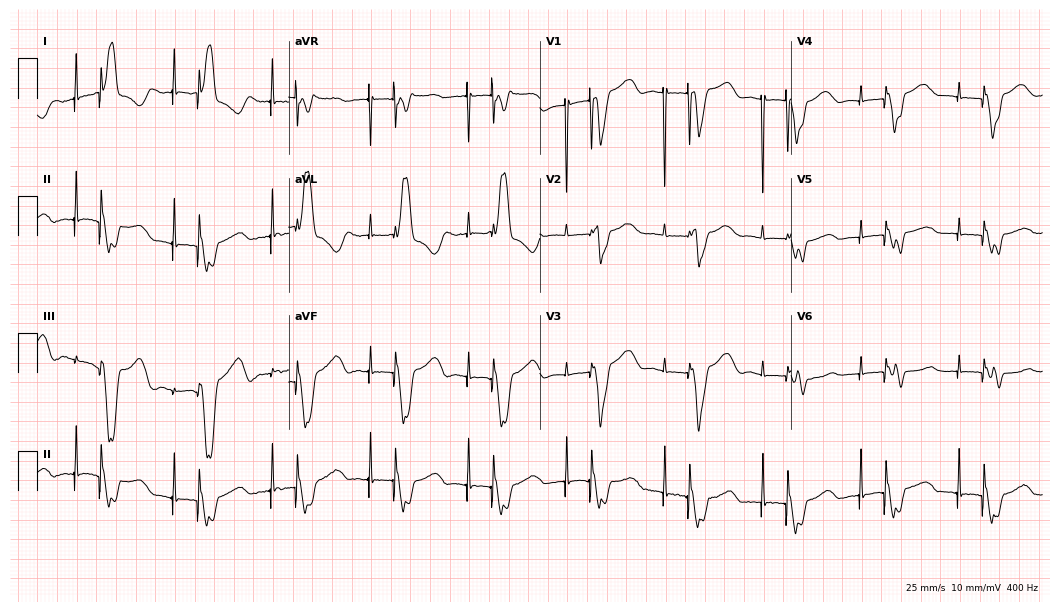
Electrocardiogram, a 70-year-old female. Of the six screened findings (first-degree AV block, right bundle branch block, left bundle branch block, sinus bradycardia, atrial fibrillation, sinus tachycardia), none is recorded.